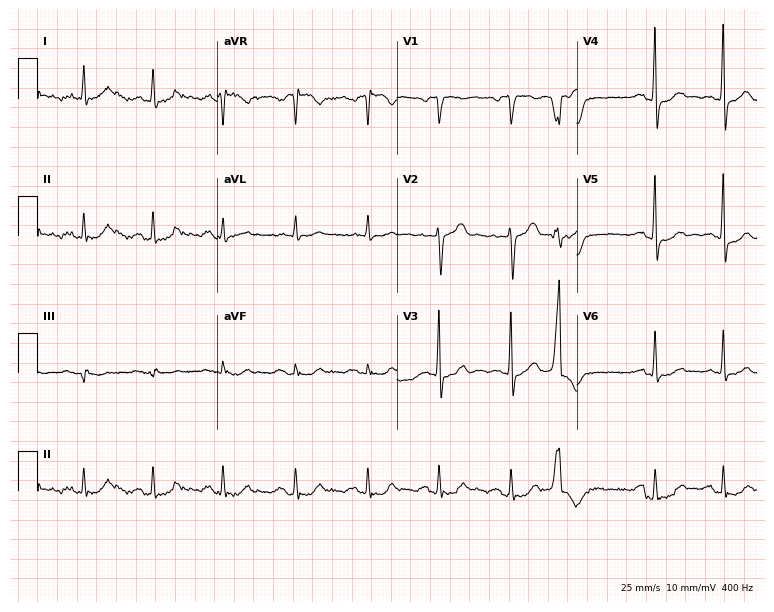
ECG — a 63-year-old male patient. Screened for six findings — first-degree AV block, right bundle branch block (RBBB), left bundle branch block (LBBB), sinus bradycardia, atrial fibrillation (AF), sinus tachycardia — none is recorded. Other findings, if any, are not listed.